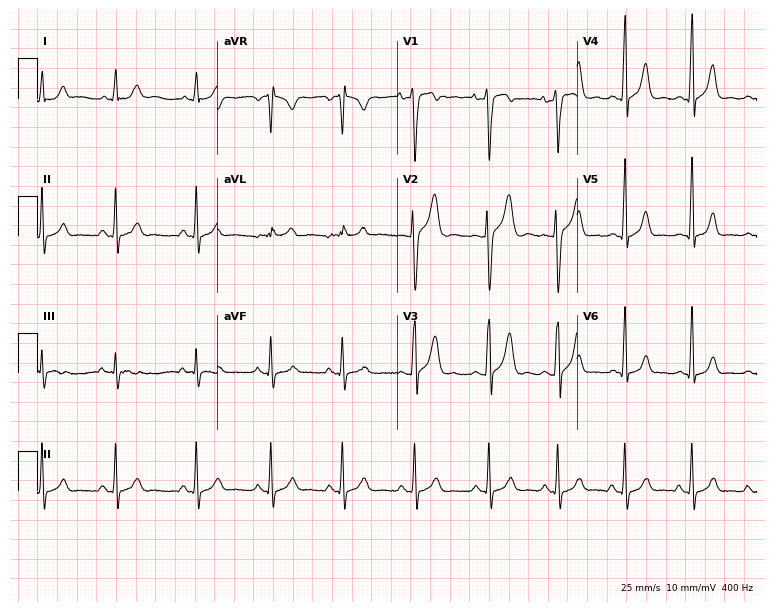
Electrocardiogram, a 20-year-old male patient. Overall reading on record: normal ECG.